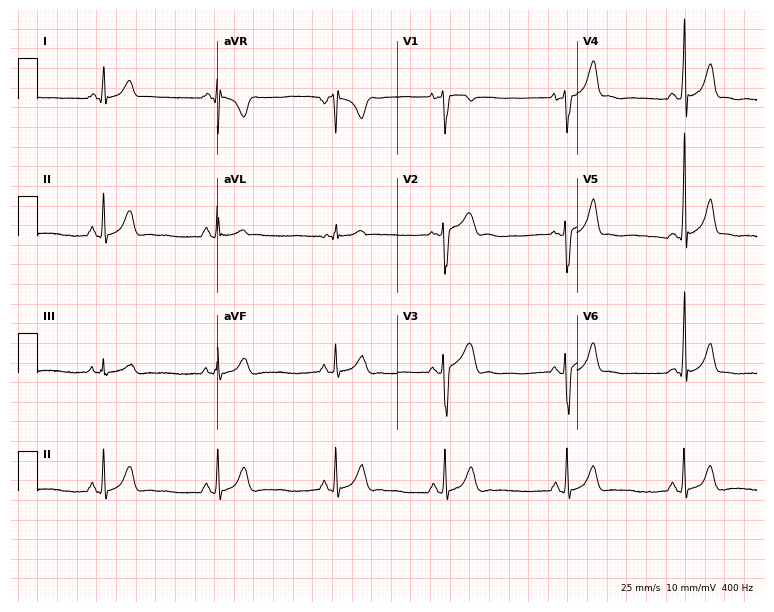
Standard 12-lead ECG recorded from an 18-year-old male (7.3-second recording at 400 Hz). Read as a normal ECG.